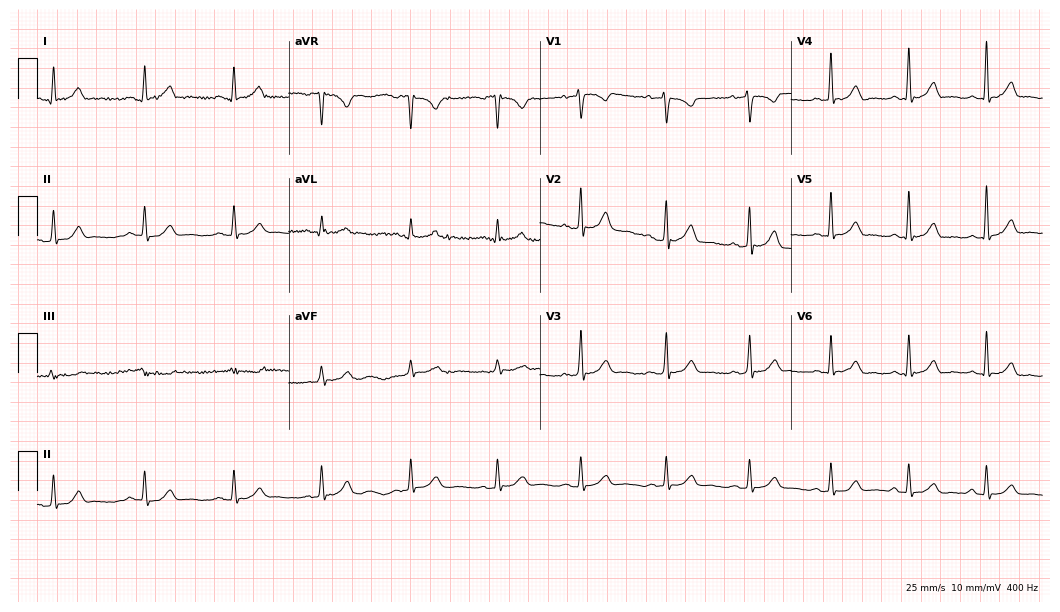
Electrocardiogram (10.2-second recording at 400 Hz), a 39-year-old female patient. Overall reading on record: normal ECG.